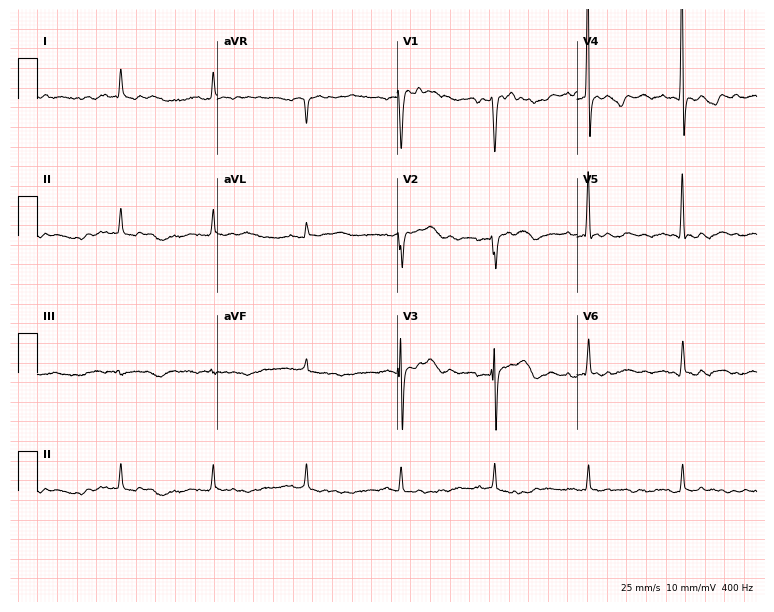
Standard 12-lead ECG recorded from a female patient, 84 years old (7.3-second recording at 400 Hz). None of these six findings is recorded: first-degree AV block, right bundle branch block (RBBB), left bundle branch block (LBBB), sinus bradycardia, atrial fibrillation (AF), sinus tachycardia. Other findings, if any, are not listed.